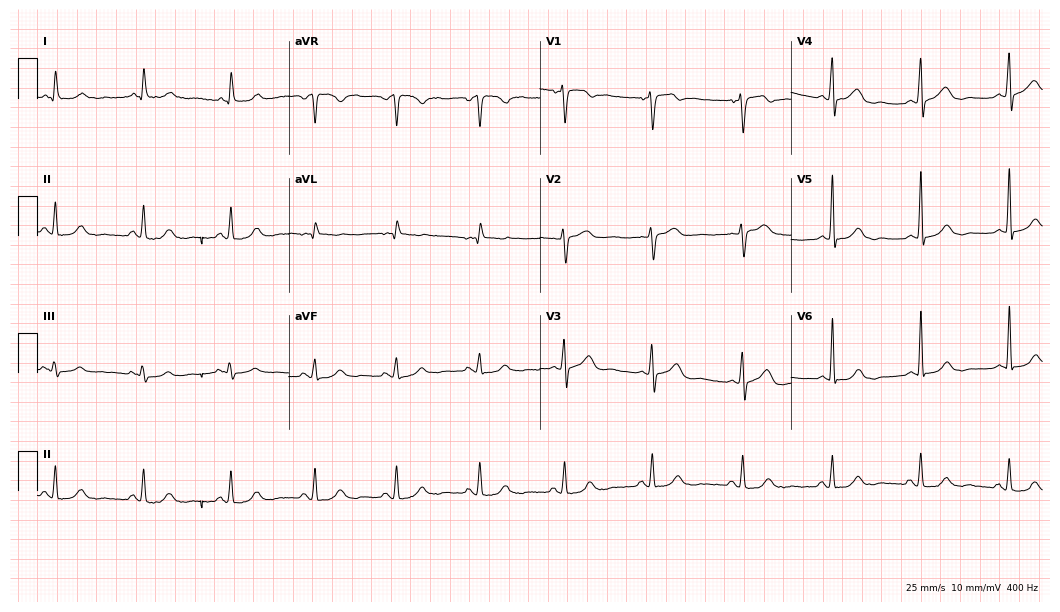
12-lead ECG (10.2-second recording at 400 Hz) from a female patient, 57 years old. Labelled as a normal ECG.